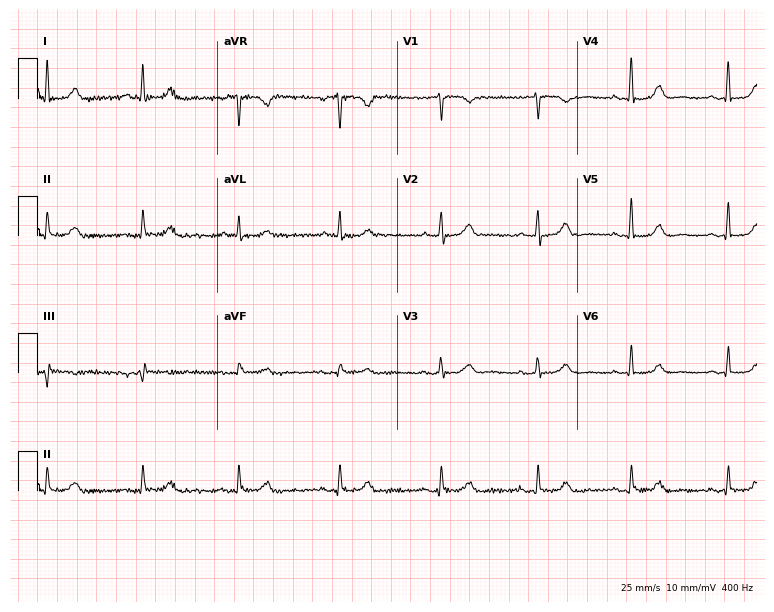
Standard 12-lead ECG recorded from a woman, 56 years old. Read as a normal ECG.